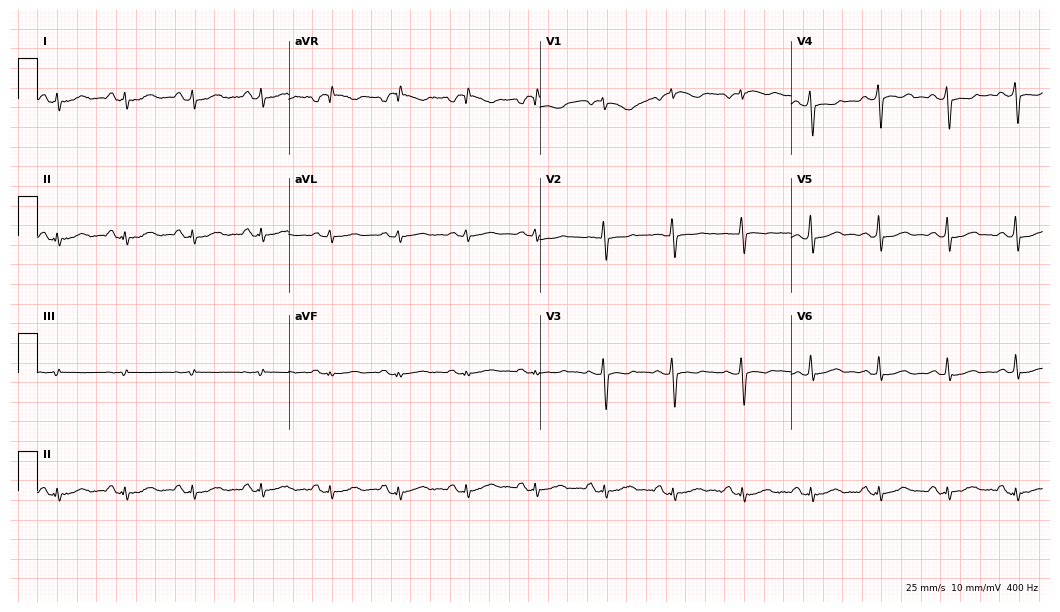
12-lead ECG from a female, 56 years old. No first-degree AV block, right bundle branch block, left bundle branch block, sinus bradycardia, atrial fibrillation or sinus tachycardia recorded for this tracing. Findings outside these six are not listed.